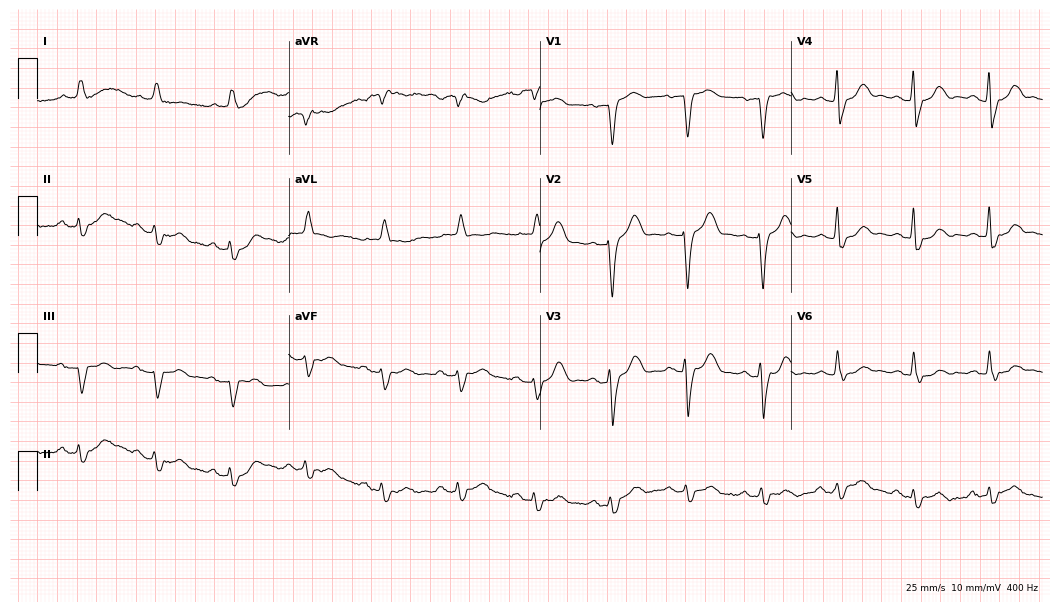
ECG — a male, 79 years old. Findings include left bundle branch block.